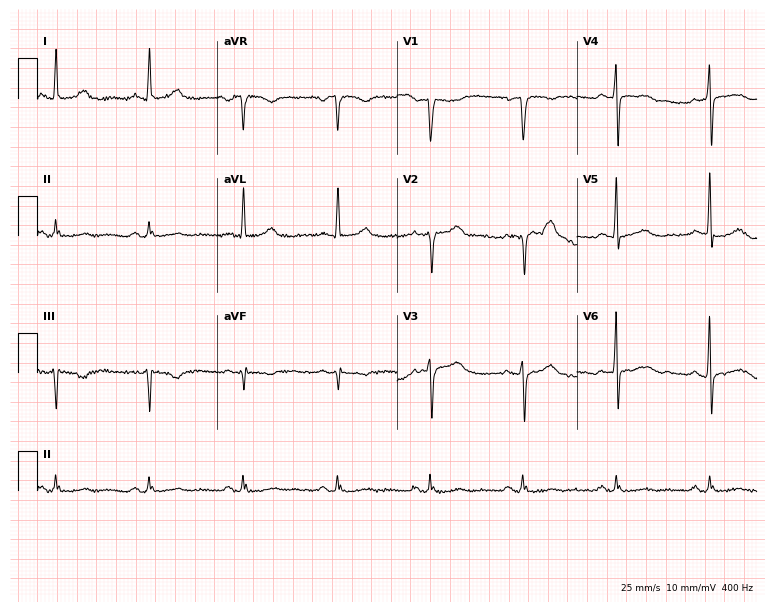
Standard 12-lead ECG recorded from a male, 59 years old (7.3-second recording at 400 Hz). None of these six findings is recorded: first-degree AV block, right bundle branch block, left bundle branch block, sinus bradycardia, atrial fibrillation, sinus tachycardia. Only these six findings were labelled.